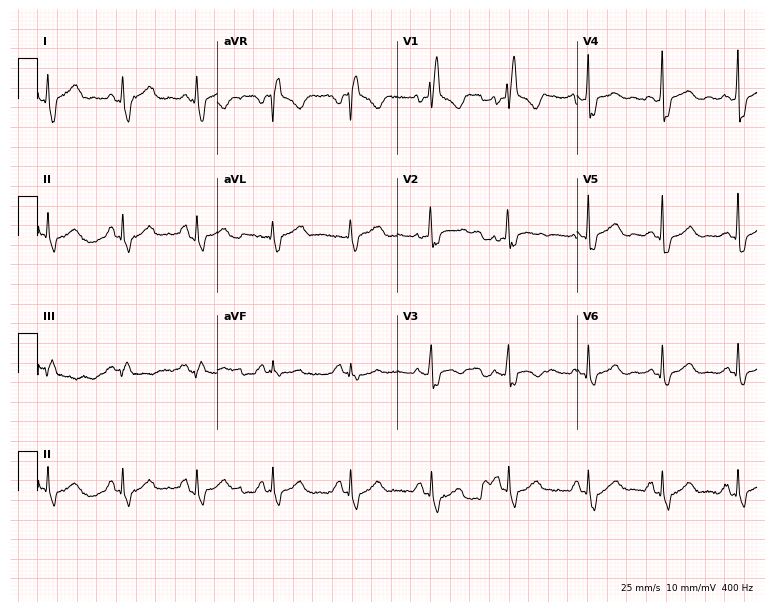
Electrocardiogram (7.3-second recording at 400 Hz), a 51-year-old woman. Interpretation includes right bundle branch block.